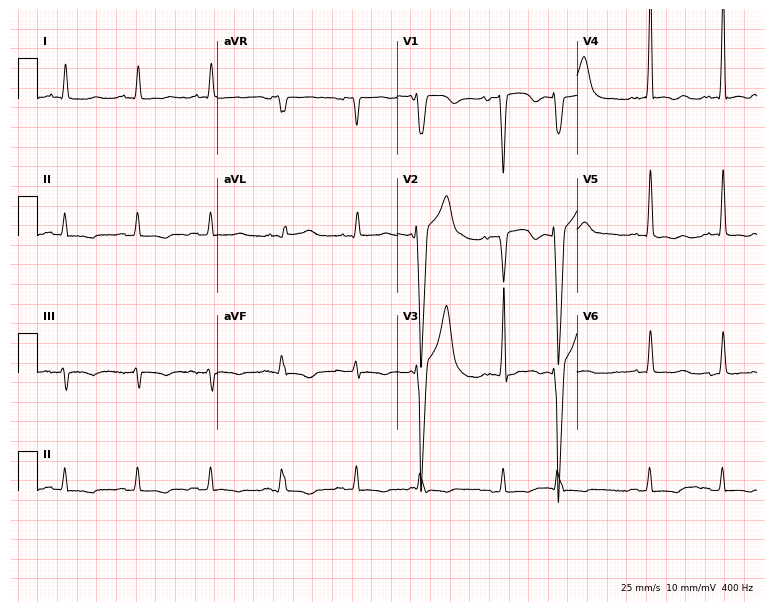
ECG — a 71-year-old male. Screened for six findings — first-degree AV block, right bundle branch block, left bundle branch block, sinus bradycardia, atrial fibrillation, sinus tachycardia — none is recorded.